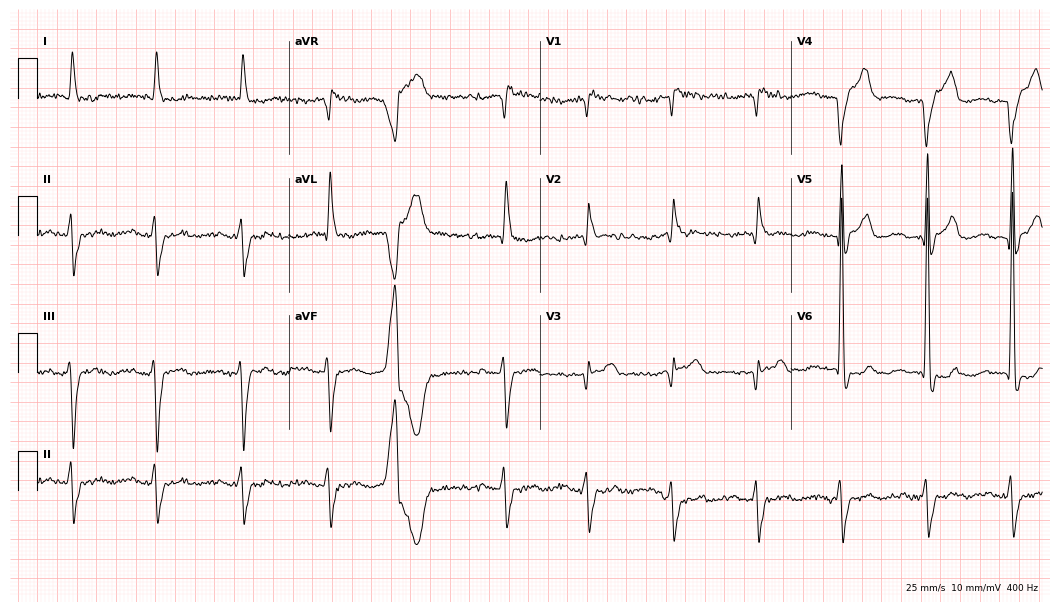
Standard 12-lead ECG recorded from a 69-year-old man. The tracing shows first-degree AV block, right bundle branch block.